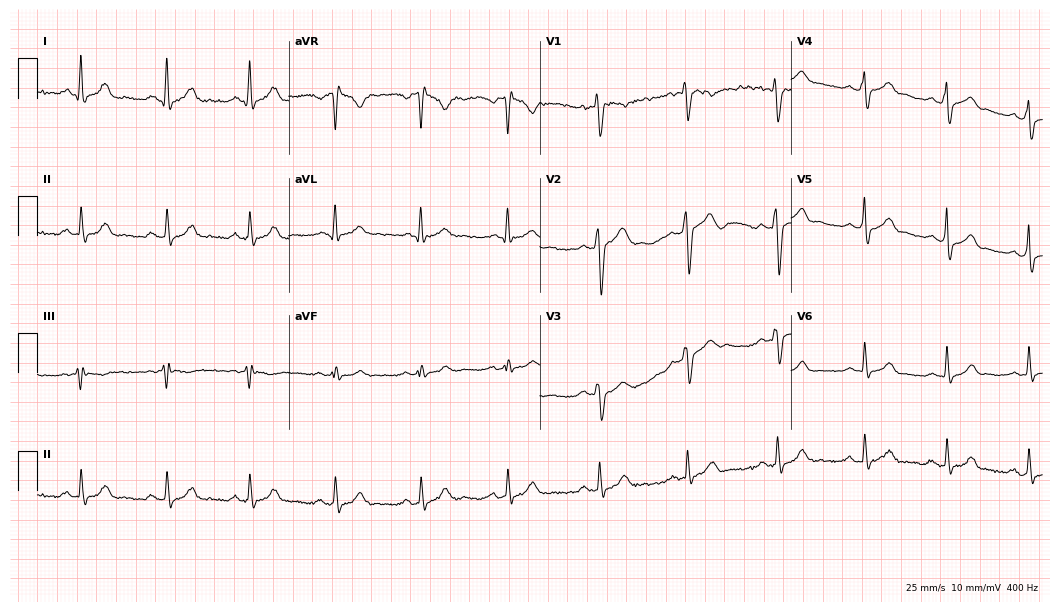
ECG (10.2-second recording at 400 Hz) — a male patient, 28 years old. Screened for six findings — first-degree AV block, right bundle branch block, left bundle branch block, sinus bradycardia, atrial fibrillation, sinus tachycardia — none is recorded. Findings outside these six are not listed.